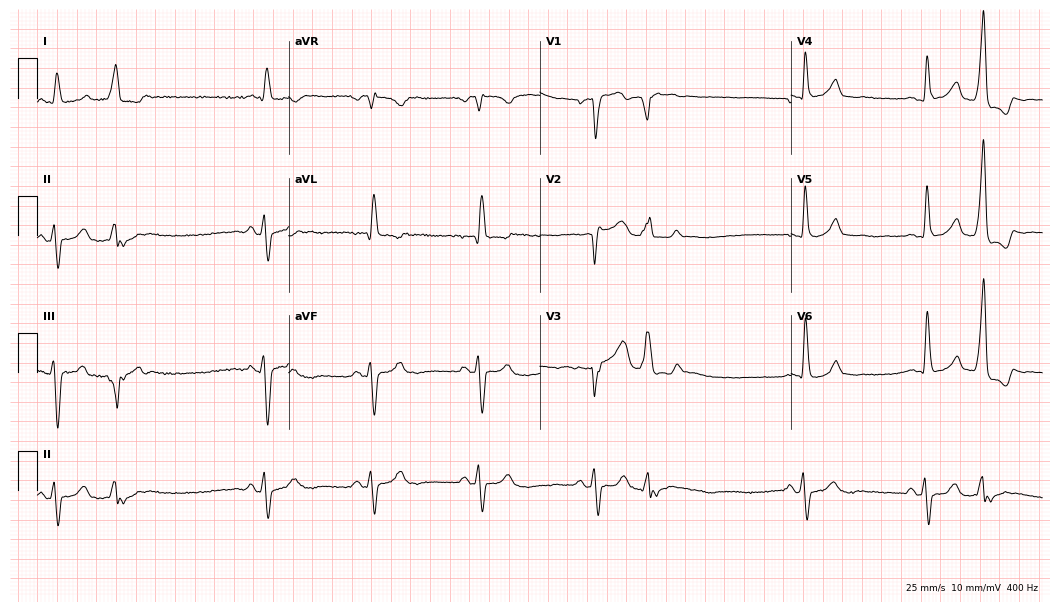
Resting 12-lead electrocardiogram (10.2-second recording at 400 Hz). Patient: a 74-year-old male. None of these six findings is recorded: first-degree AV block, right bundle branch block, left bundle branch block, sinus bradycardia, atrial fibrillation, sinus tachycardia.